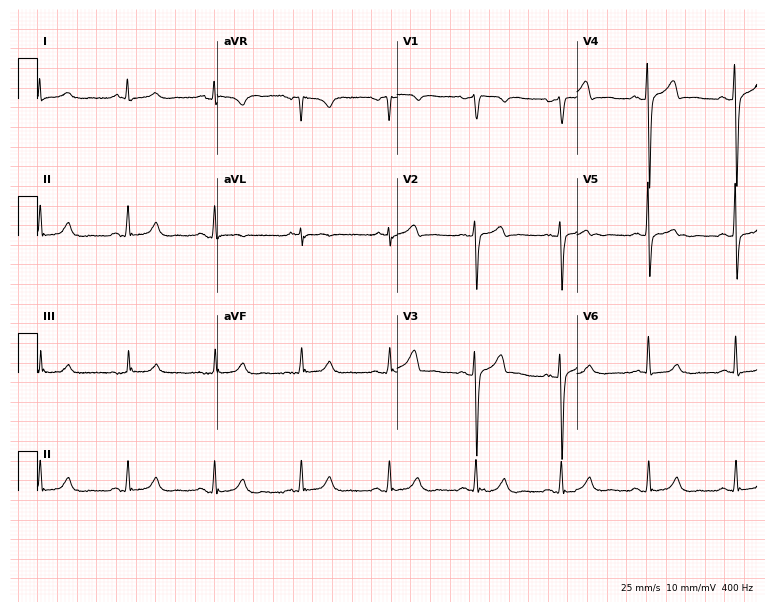
Electrocardiogram, a male, 47 years old. Overall reading on record: normal ECG.